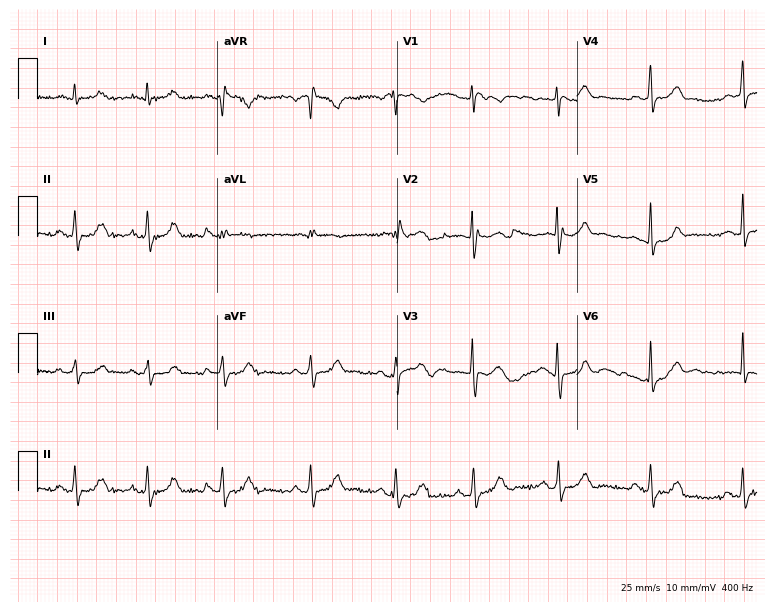
12-lead ECG from a woman, 27 years old (7.3-second recording at 400 Hz). Recorded interpretation: within normal limits.